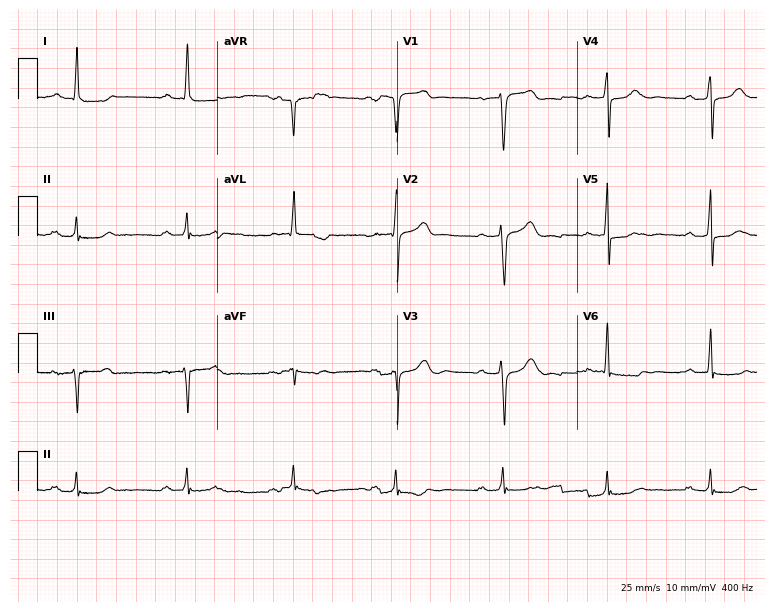
Electrocardiogram (7.3-second recording at 400 Hz), a male patient, 67 years old. Of the six screened findings (first-degree AV block, right bundle branch block, left bundle branch block, sinus bradycardia, atrial fibrillation, sinus tachycardia), none is recorded.